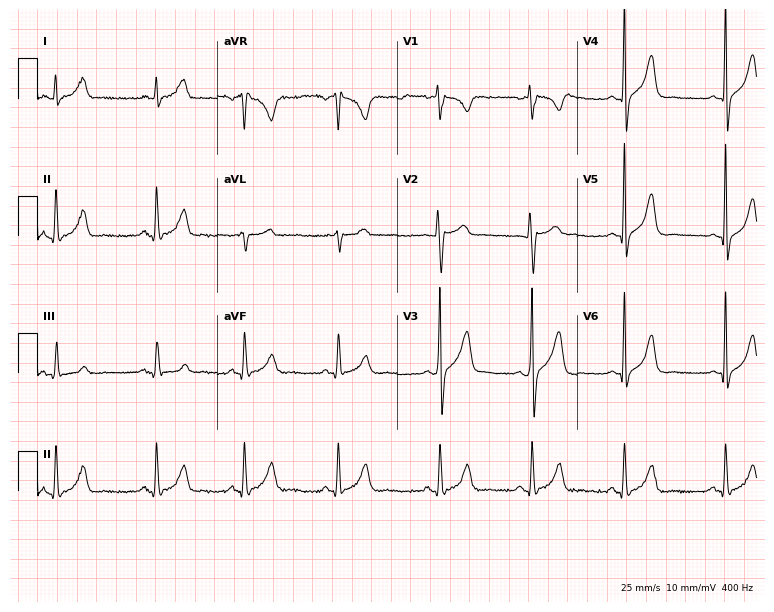
12-lead ECG from a 29-year-old man (7.3-second recording at 400 Hz). No first-degree AV block, right bundle branch block, left bundle branch block, sinus bradycardia, atrial fibrillation or sinus tachycardia recorded for this tracing. Findings outside these six are not listed.